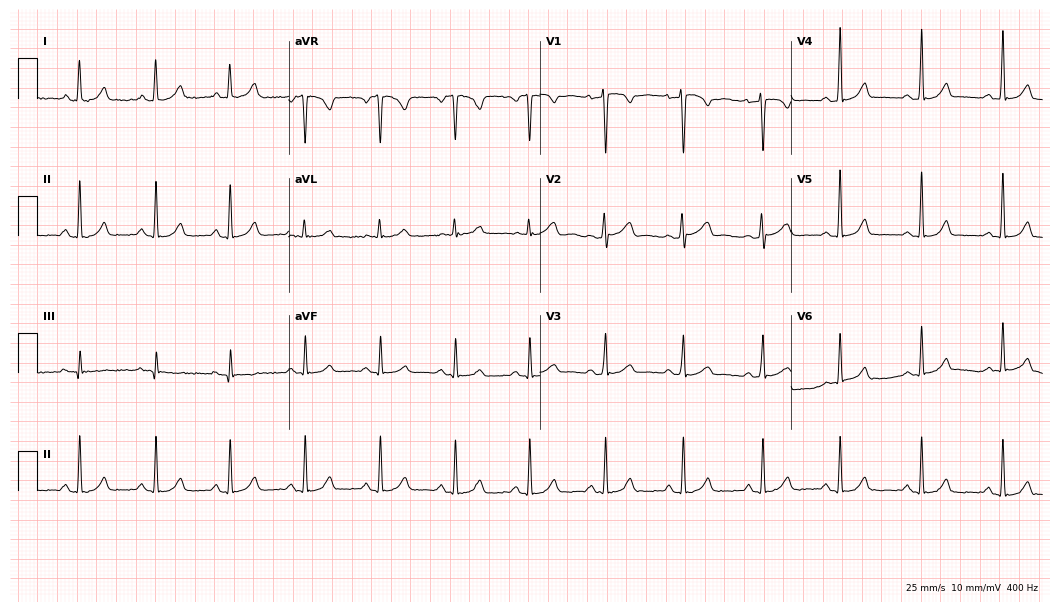
Standard 12-lead ECG recorded from a female, 38 years old. None of these six findings is recorded: first-degree AV block, right bundle branch block, left bundle branch block, sinus bradycardia, atrial fibrillation, sinus tachycardia.